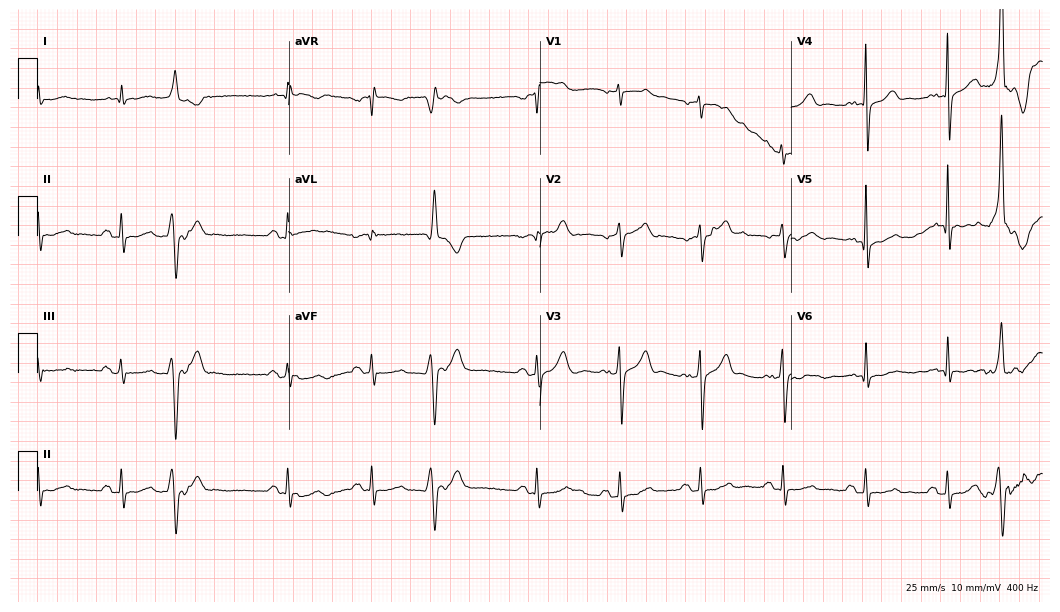
ECG — a 79-year-old male patient. Screened for six findings — first-degree AV block, right bundle branch block, left bundle branch block, sinus bradycardia, atrial fibrillation, sinus tachycardia — none is recorded. Other findings, if any, are not listed.